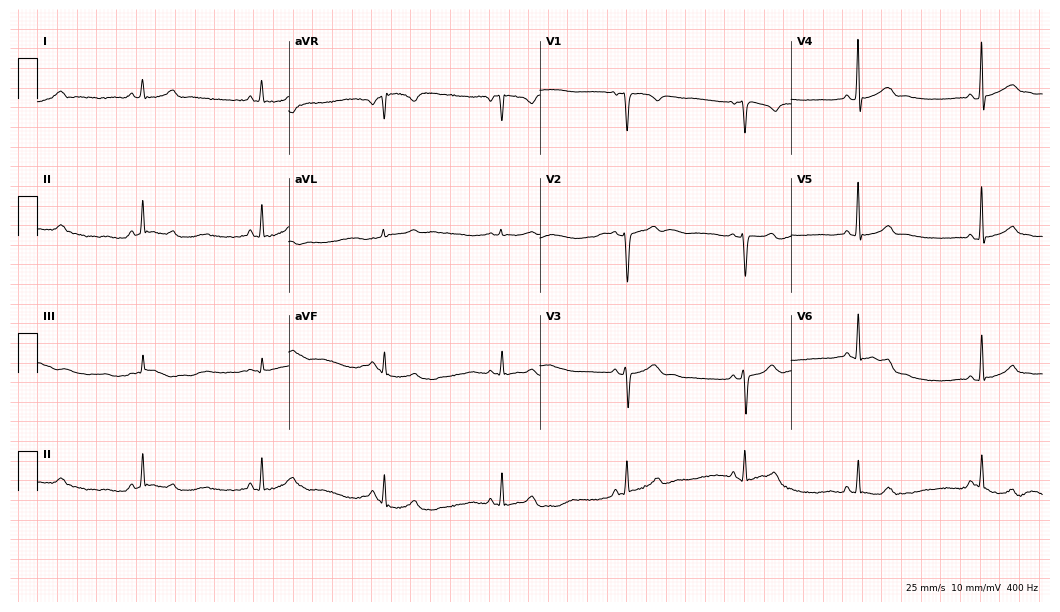
Electrocardiogram (10.2-second recording at 400 Hz), a 43-year-old woman. Of the six screened findings (first-degree AV block, right bundle branch block, left bundle branch block, sinus bradycardia, atrial fibrillation, sinus tachycardia), none is recorded. Findings outside these six are not listed.